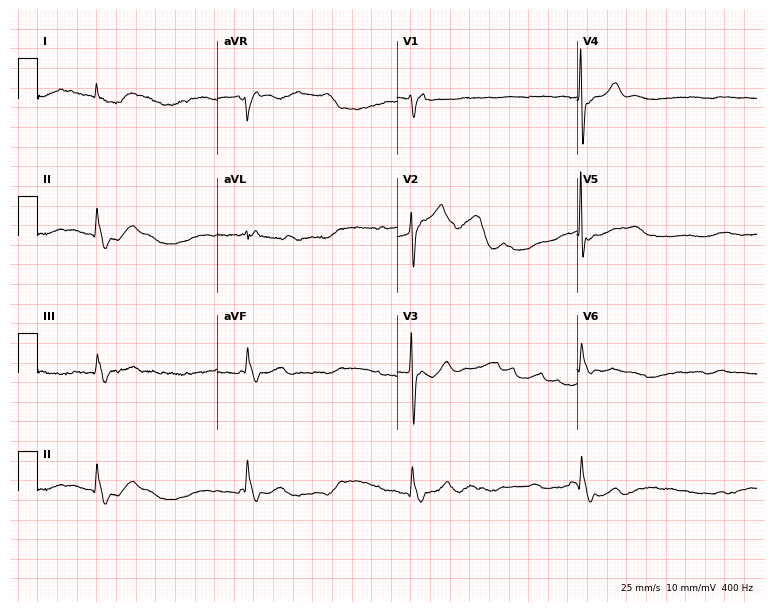
12-lead ECG from a 78-year-old female patient. Screened for six findings — first-degree AV block, right bundle branch block, left bundle branch block, sinus bradycardia, atrial fibrillation, sinus tachycardia — none is recorded. Other findings, if any, are not listed.